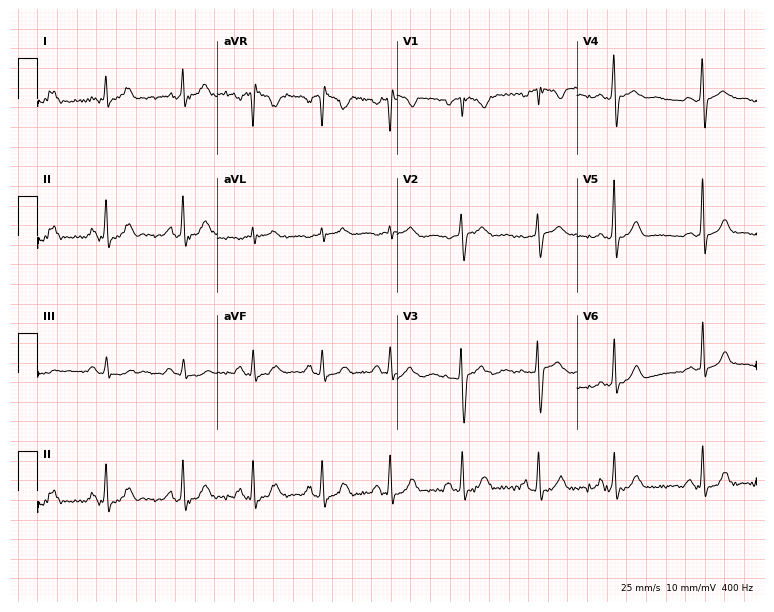
Standard 12-lead ECG recorded from a 17-year-old female. None of these six findings is recorded: first-degree AV block, right bundle branch block (RBBB), left bundle branch block (LBBB), sinus bradycardia, atrial fibrillation (AF), sinus tachycardia. Other findings, if any, are not listed.